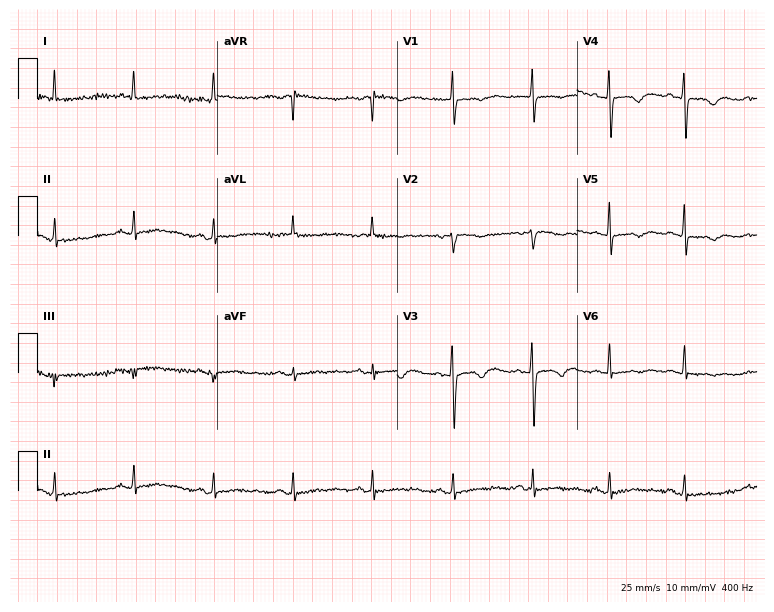
Standard 12-lead ECG recorded from a female, 79 years old. None of these six findings is recorded: first-degree AV block, right bundle branch block (RBBB), left bundle branch block (LBBB), sinus bradycardia, atrial fibrillation (AF), sinus tachycardia.